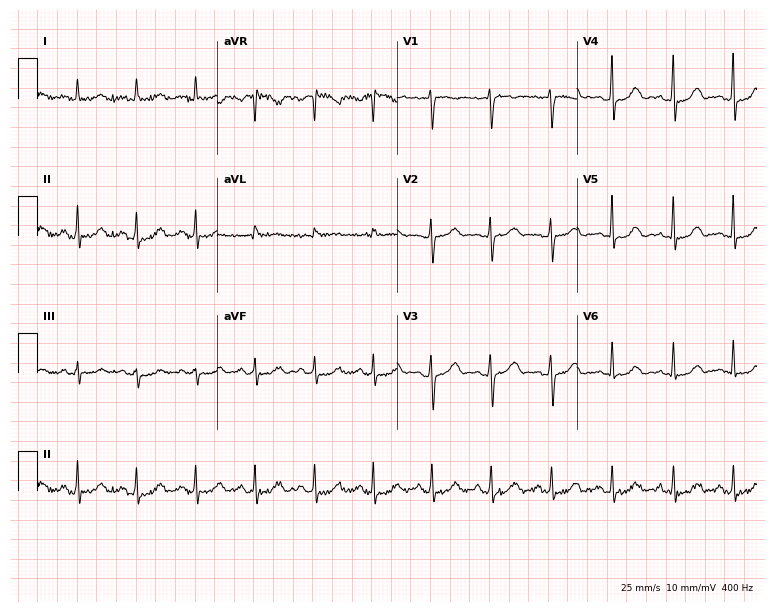
12-lead ECG (7.3-second recording at 400 Hz) from a 37-year-old female patient. Labelled as a normal ECG.